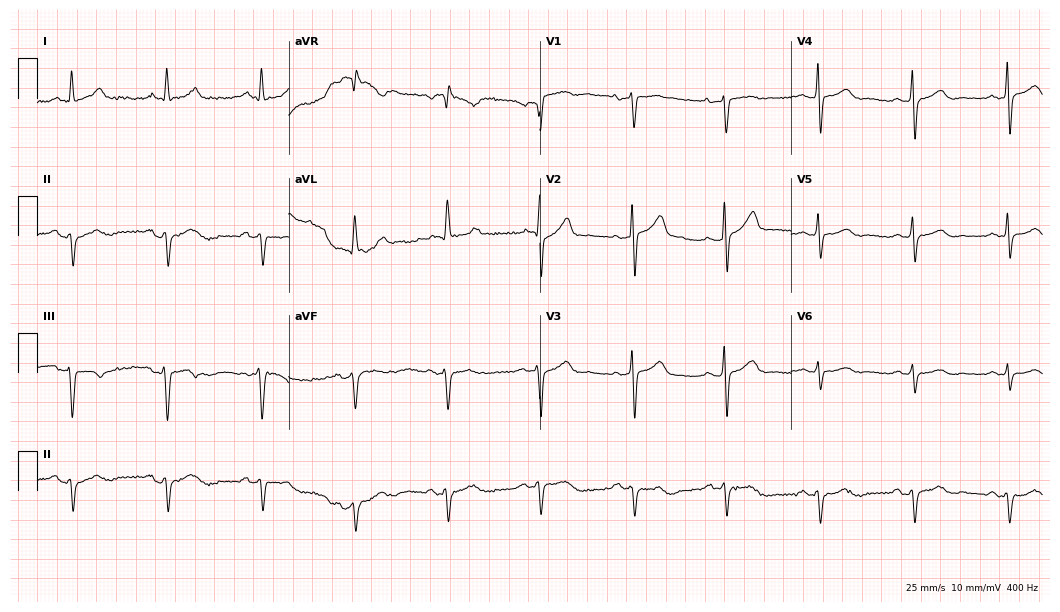
Electrocardiogram, a 73-year-old male. Of the six screened findings (first-degree AV block, right bundle branch block (RBBB), left bundle branch block (LBBB), sinus bradycardia, atrial fibrillation (AF), sinus tachycardia), none is recorded. Other findings, if any, are not listed.